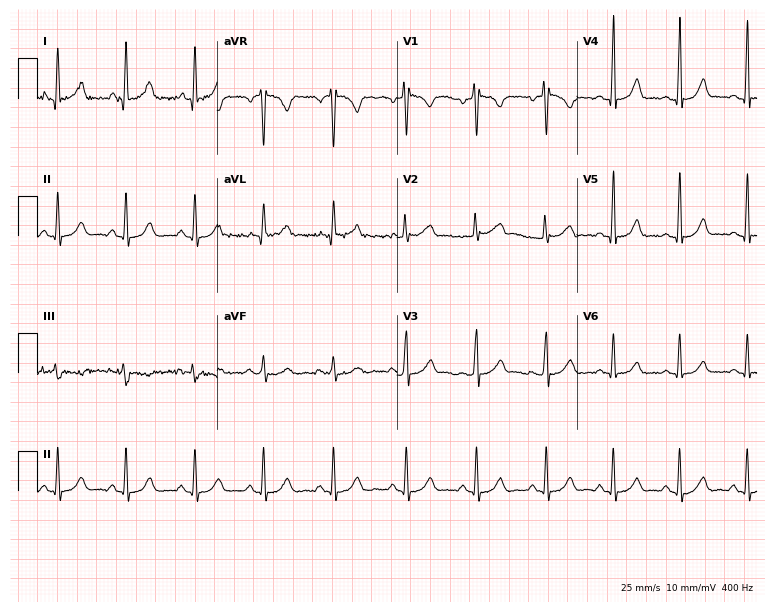
Electrocardiogram (7.3-second recording at 400 Hz), a female, 26 years old. Overall reading on record: normal ECG.